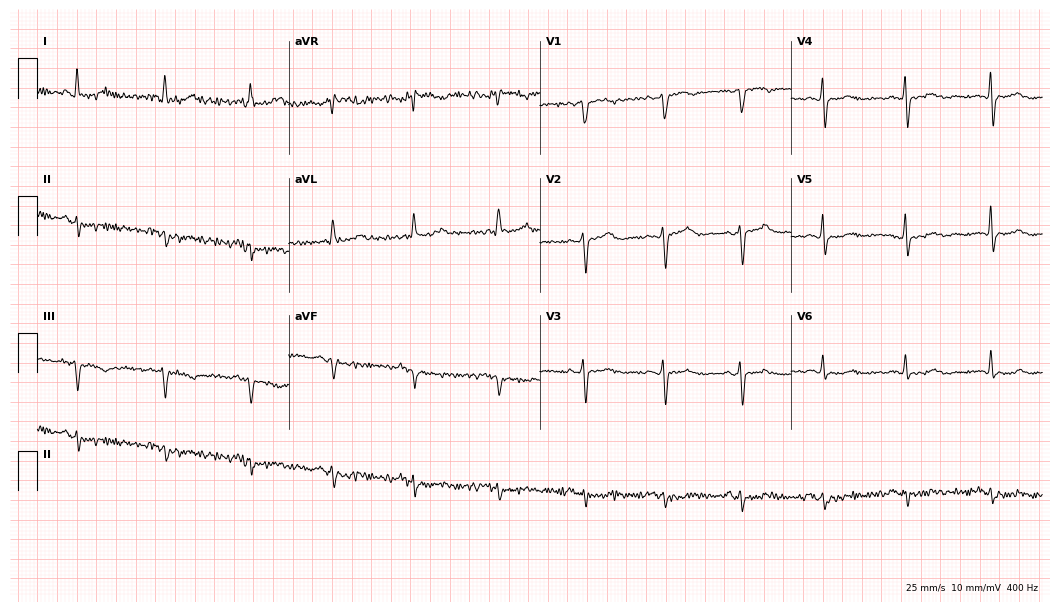
ECG — a woman, 60 years old. Screened for six findings — first-degree AV block, right bundle branch block, left bundle branch block, sinus bradycardia, atrial fibrillation, sinus tachycardia — none is recorded. Other findings, if any, are not listed.